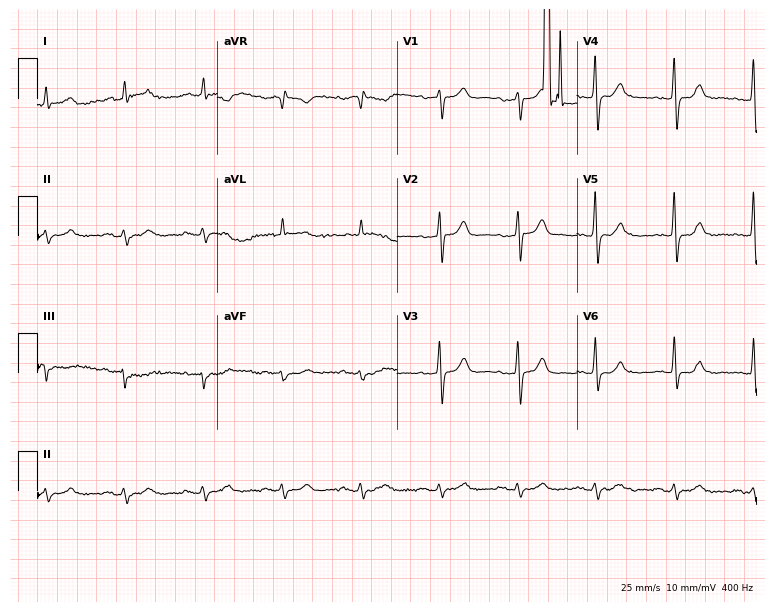
Electrocardiogram, a 74-year-old male patient. Of the six screened findings (first-degree AV block, right bundle branch block (RBBB), left bundle branch block (LBBB), sinus bradycardia, atrial fibrillation (AF), sinus tachycardia), none is recorded.